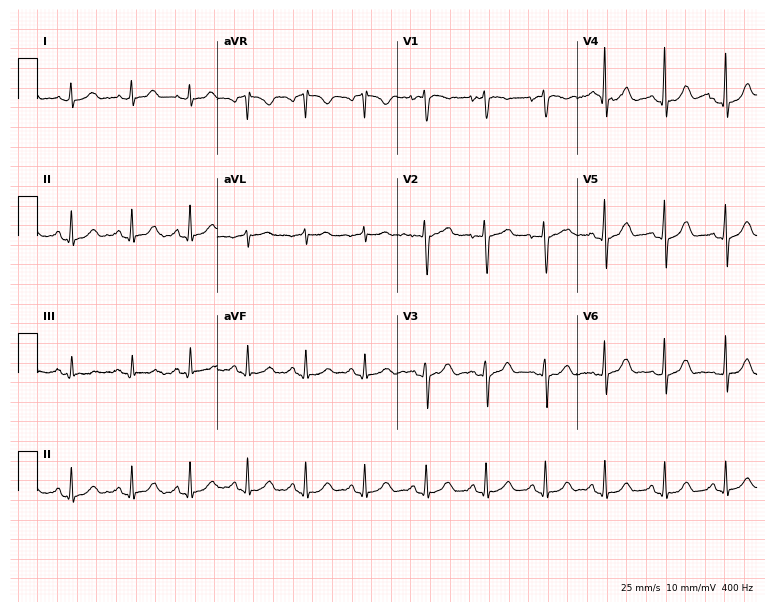
Resting 12-lead electrocardiogram. Patient: a female, 49 years old. None of these six findings is recorded: first-degree AV block, right bundle branch block (RBBB), left bundle branch block (LBBB), sinus bradycardia, atrial fibrillation (AF), sinus tachycardia. Only these six findings were labelled.